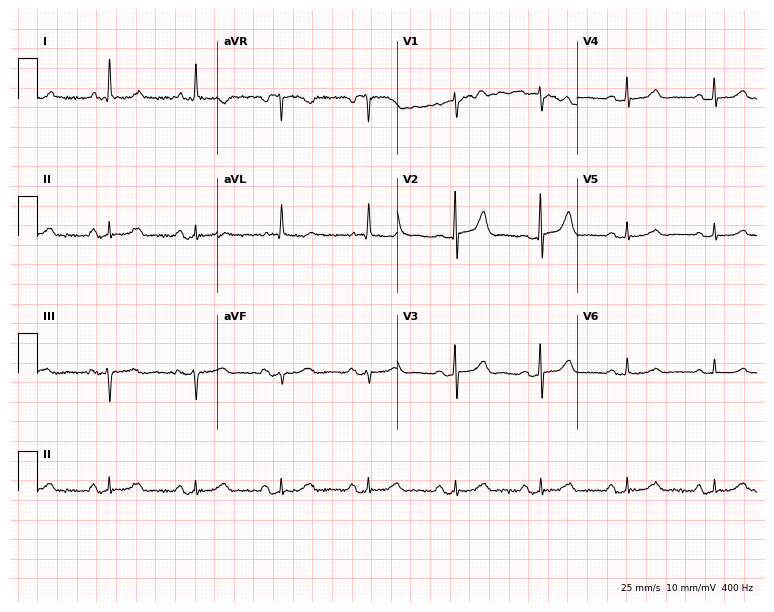
Standard 12-lead ECG recorded from an 81-year-old woman (7.3-second recording at 400 Hz). Read as a normal ECG.